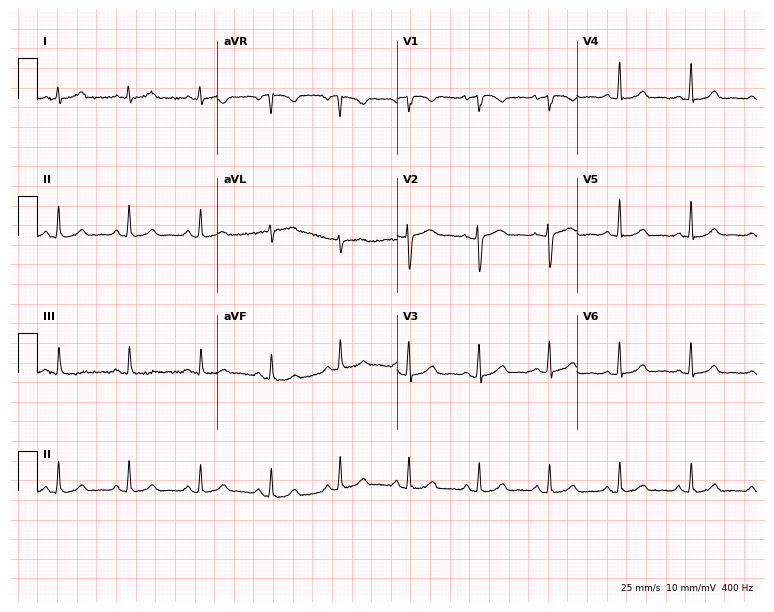
12-lead ECG (7.3-second recording at 400 Hz) from a 56-year-old woman. Screened for six findings — first-degree AV block, right bundle branch block, left bundle branch block, sinus bradycardia, atrial fibrillation, sinus tachycardia — none is recorded. Only these six findings were labelled.